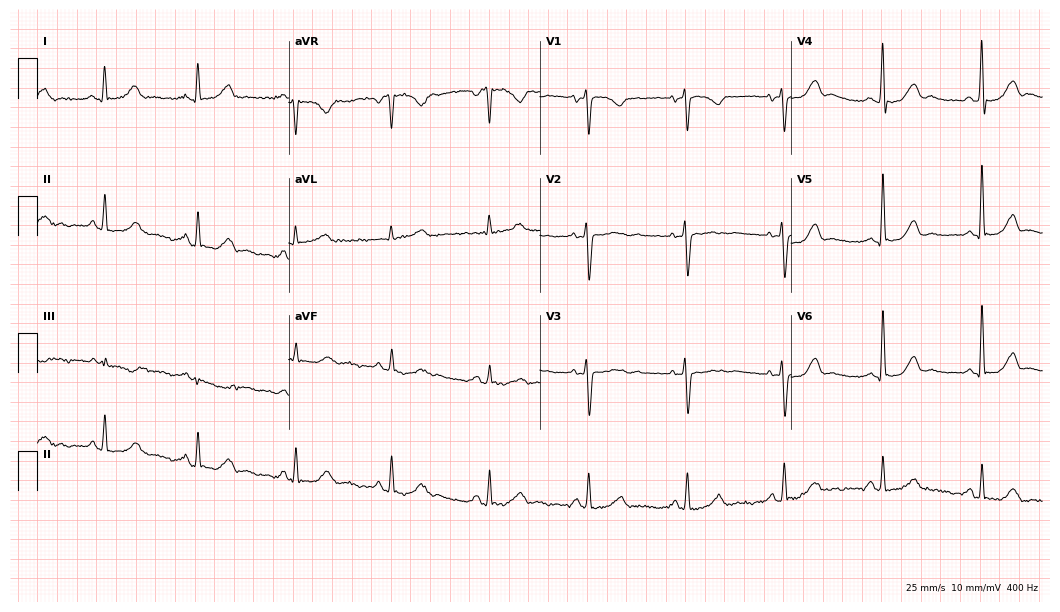
Electrocardiogram, a 73-year-old woman. Of the six screened findings (first-degree AV block, right bundle branch block (RBBB), left bundle branch block (LBBB), sinus bradycardia, atrial fibrillation (AF), sinus tachycardia), none is recorded.